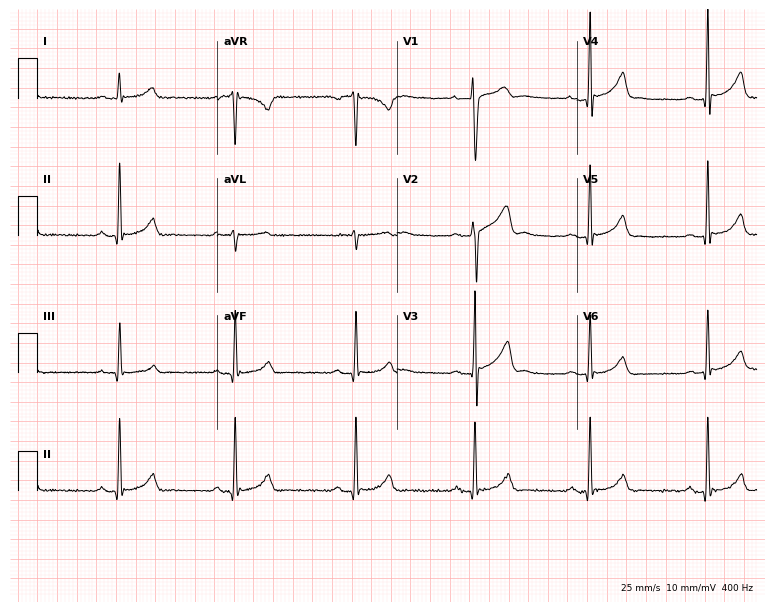
12-lead ECG from a man, 19 years old. No first-degree AV block, right bundle branch block, left bundle branch block, sinus bradycardia, atrial fibrillation or sinus tachycardia recorded for this tracing.